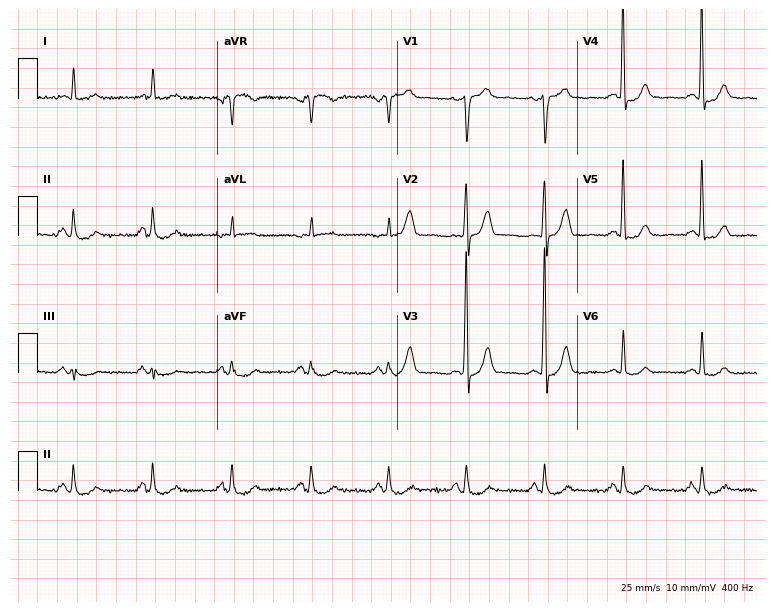
Resting 12-lead electrocardiogram. Patient: a 62-year-old male. None of these six findings is recorded: first-degree AV block, right bundle branch block, left bundle branch block, sinus bradycardia, atrial fibrillation, sinus tachycardia. Findings outside these six are not listed.